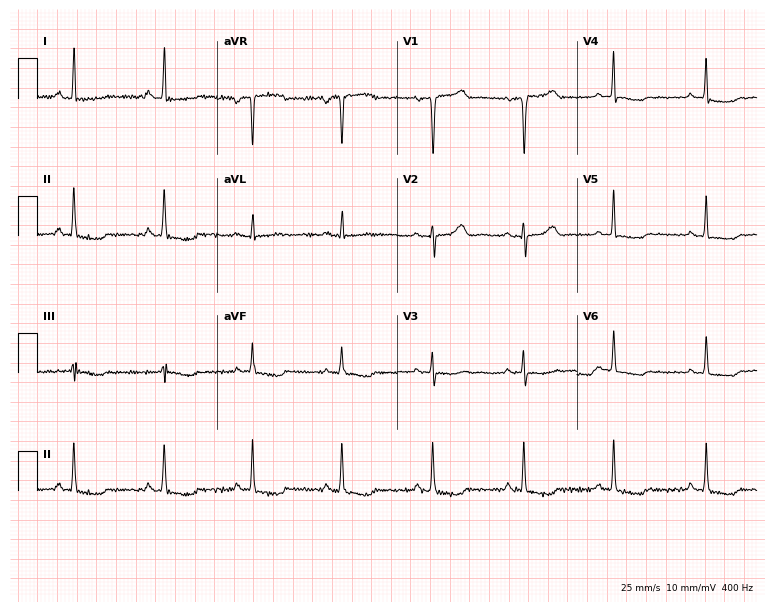
12-lead ECG from a 70-year-old woman (7.3-second recording at 400 Hz). No first-degree AV block, right bundle branch block, left bundle branch block, sinus bradycardia, atrial fibrillation or sinus tachycardia recorded for this tracing.